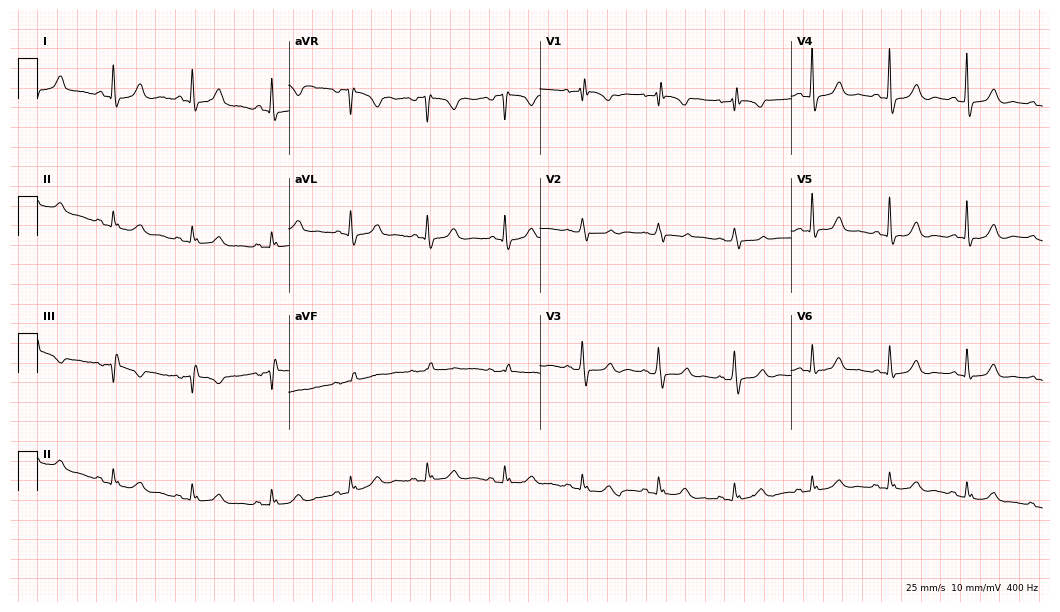
Standard 12-lead ECG recorded from a female patient, 68 years old (10.2-second recording at 400 Hz). None of these six findings is recorded: first-degree AV block, right bundle branch block, left bundle branch block, sinus bradycardia, atrial fibrillation, sinus tachycardia.